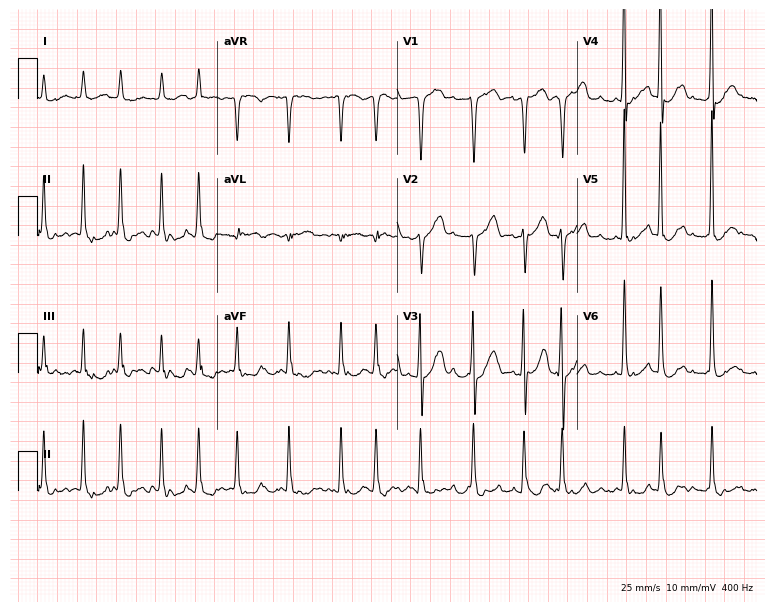
Electrocardiogram, a female, 61 years old. Interpretation includes atrial fibrillation.